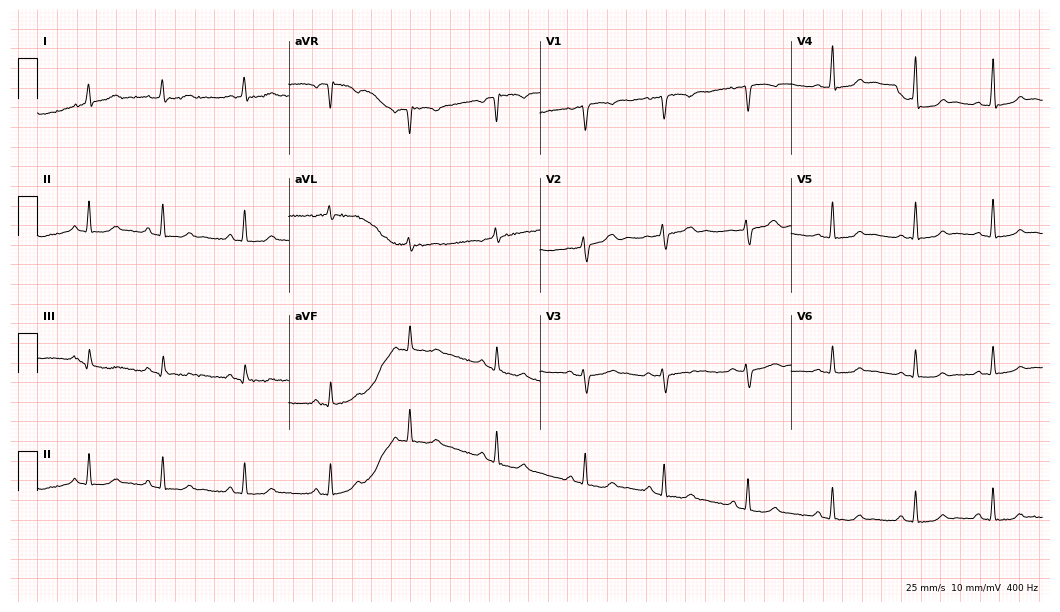
12-lead ECG from a 33-year-old female patient. Recorded interpretation: within normal limits.